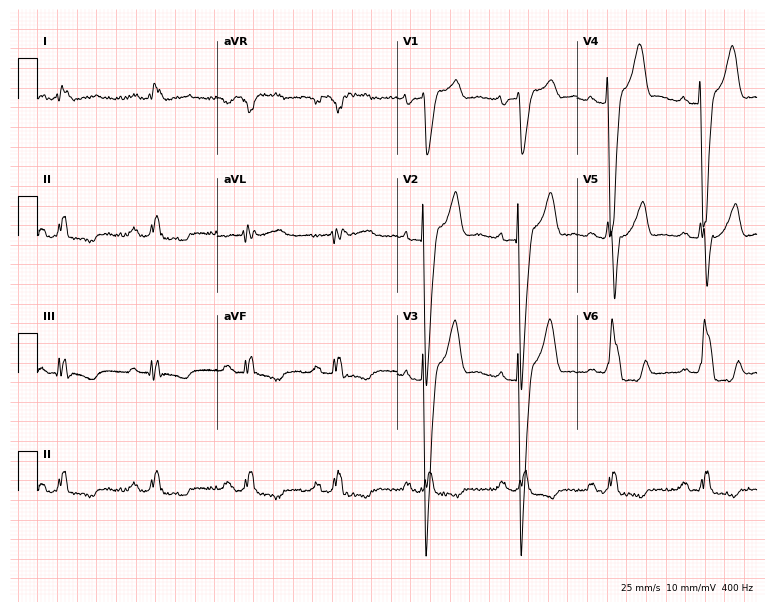
Resting 12-lead electrocardiogram. Patient: a 47-year-old male. None of these six findings is recorded: first-degree AV block, right bundle branch block, left bundle branch block, sinus bradycardia, atrial fibrillation, sinus tachycardia. Other findings, if any, are not listed.